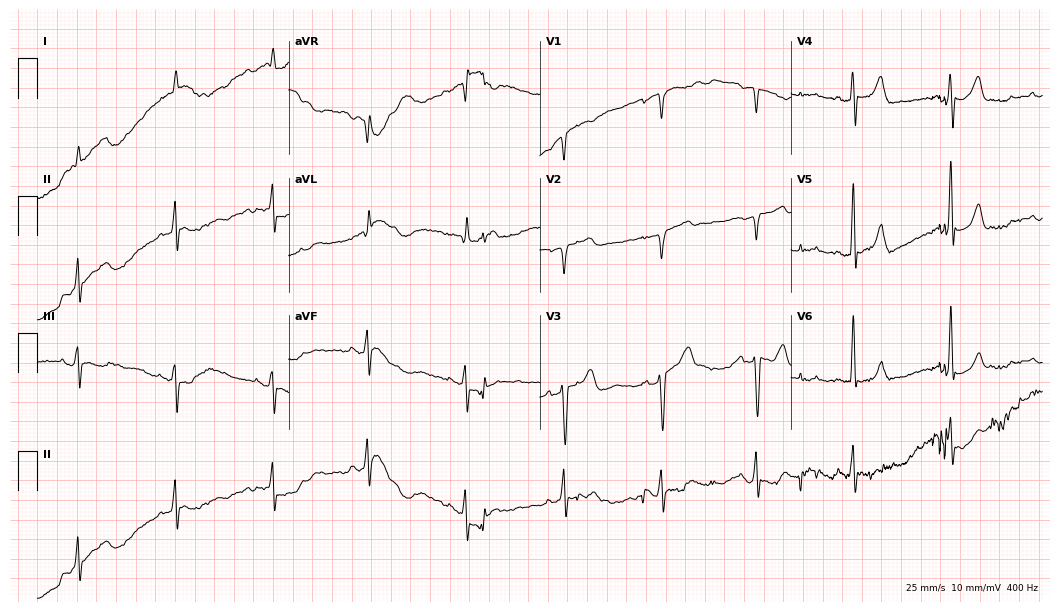
12-lead ECG from a man, 66 years old. Recorded interpretation: within normal limits.